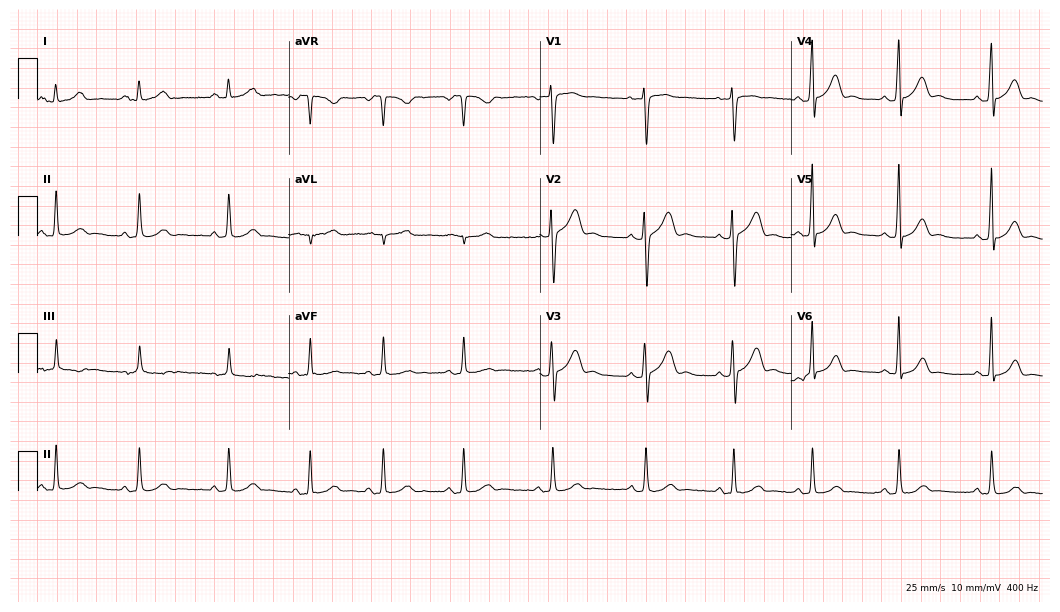
12-lead ECG from a female, 18 years old (10.2-second recording at 400 Hz). Recorded interpretation: within normal limits.